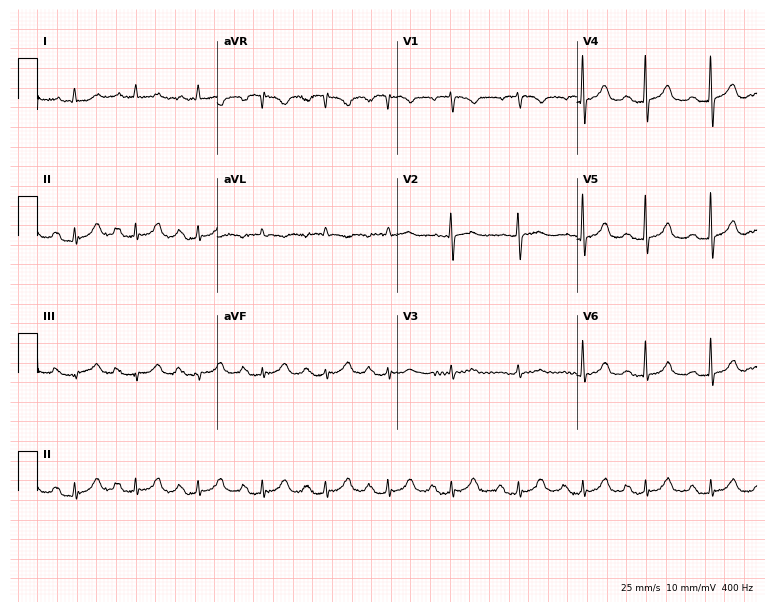
12-lead ECG (7.3-second recording at 400 Hz) from a woman, 81 years old. Screened for six findings — first-degree AV block, right bundle branch block, left bundle branch block, sinus bradycardia, atrial fibrillation, sinus tachycardia — none is recorded.